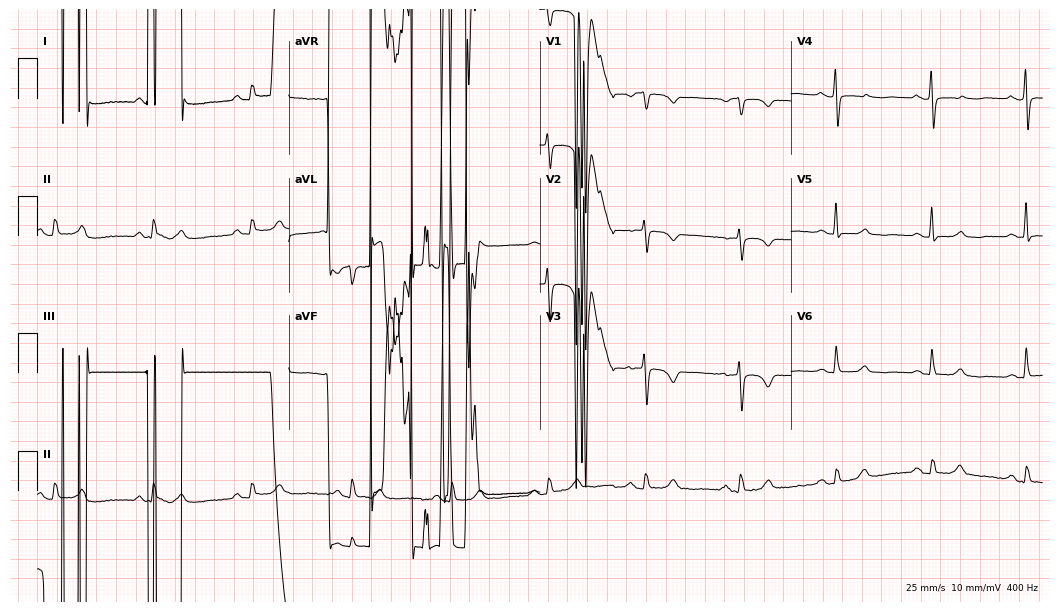
Resting 12-lead electrocardiogram (10.2-second recording at 400 Hz). Patient: a 65-year-old woman. None of these six findings is recorded: first-degree AV block, right bundle branch block, left bundle branch block, sinus bradycardia, atrial fibrillation, sinus tachycardia.